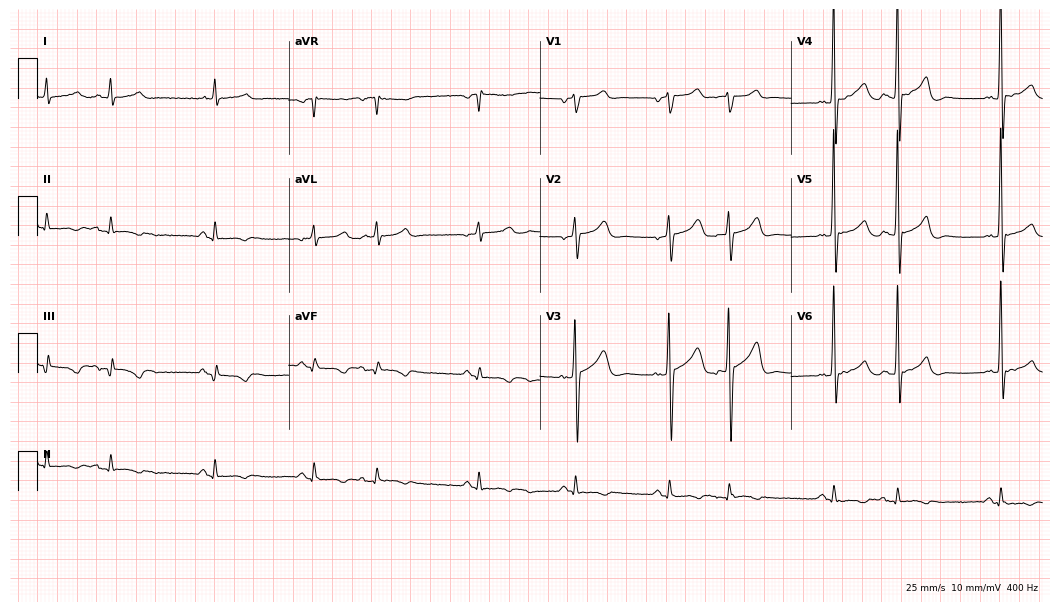
12-lead ECG from a man, 76 years old. No first-degree AV block, right bundle branch block (RBBB), left bundle branch block (LBBB), sinus bradycardia, atrial fibrillation (AF) or sinus tachycardia recorded for this tracing.